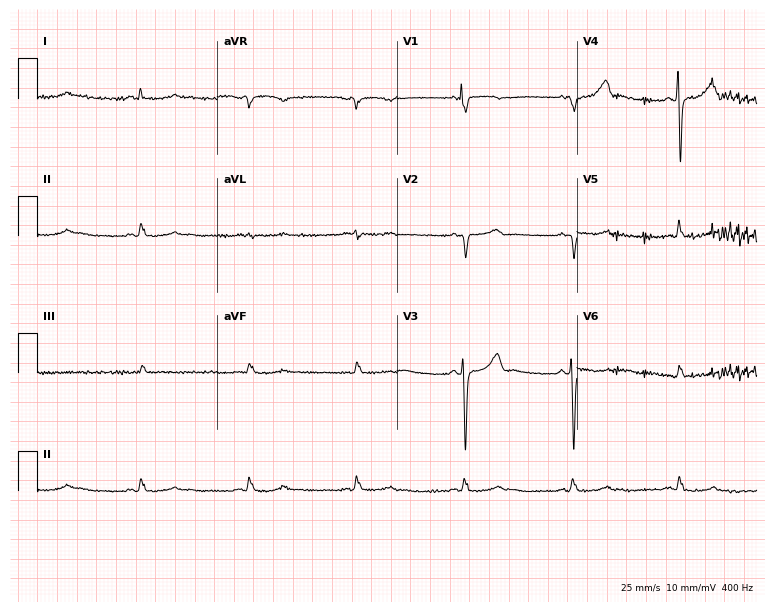
ECG — a male patient, 85 years old. Screened for six findings — first-degree AV block, right bundle branch block, left bundle branch block, sinus bradycardia, atrial fibrillation, sinus tachycardia — none is recorded. Only these six findings were labelled.